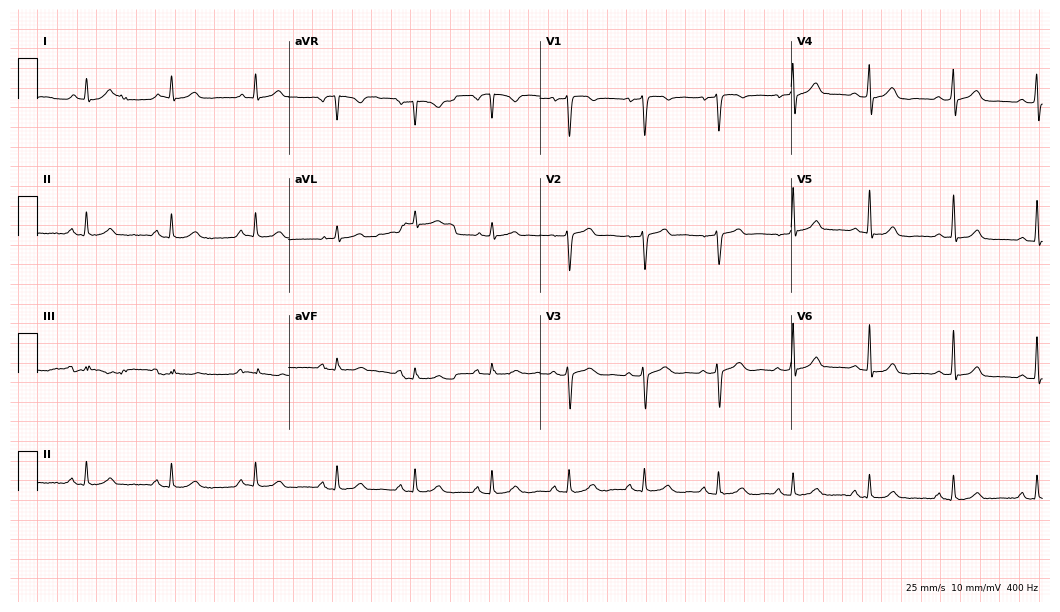
Resting 12-lead electrocardiogram. Patient: a 53-year-old female. None of these six findings is recorded: first-degree AV block, right bundle branch block, left bundle branch block, sinus bradycardia, atrial fibrillation, sinus tachycardia. Other findings, if any, are not listed.